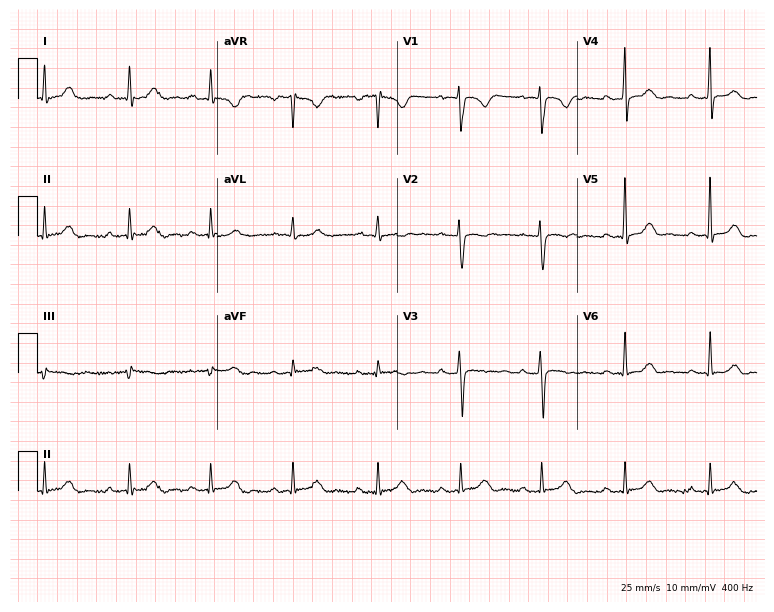
Resting 12-lead electrocardiogram (7.3-second recording at 400 Hz). Patient: a 36-year-old woman. None of these six findings is recorded: first-degree AV block, right bundle branch block (RBBB), left bundle branch block (LBBB), sinus bradycardia, atrial fibrillation (AF), sinus tachycardia. Only these six findings were labelled.